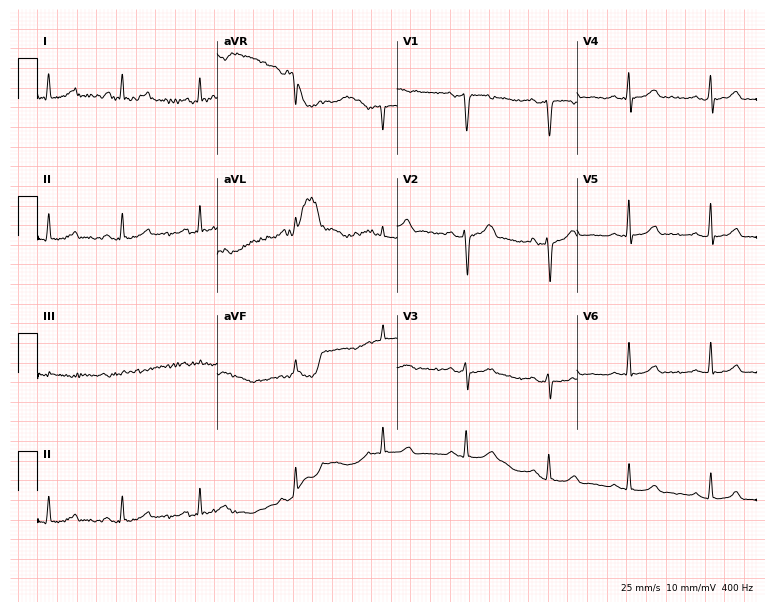
Resting 12-lead electrocardiogram (7.3-second recording at 400 Hz). Patient: a male, 36 years old. None of these six findings is recorded: first-degree AV block, right bundle branch block (RBBB), left bundle branch block (LBBB), sinus bradycardia, atrial fibrillation (AF), sinus tachycardia. Only these six findings were labelled.